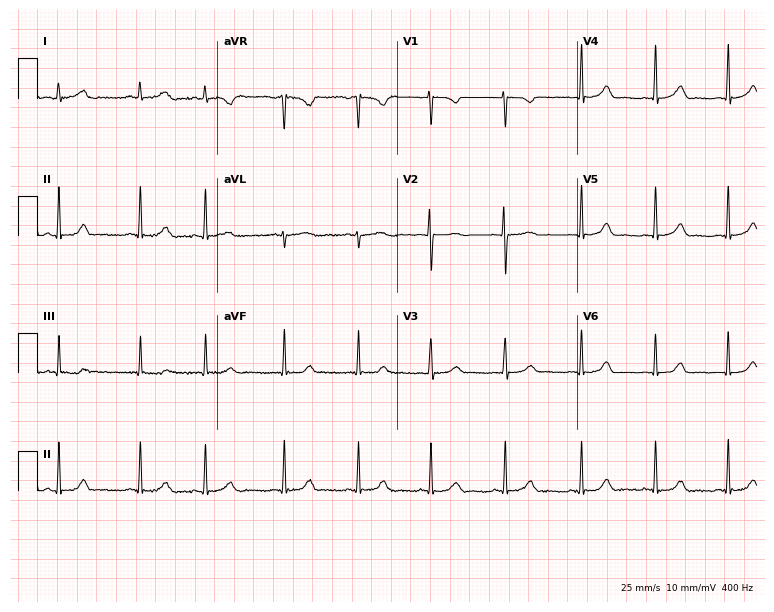
ECG (7.3-second recording at 400 Hz) — an 18-year-old female. Labelled as a normal ECG.